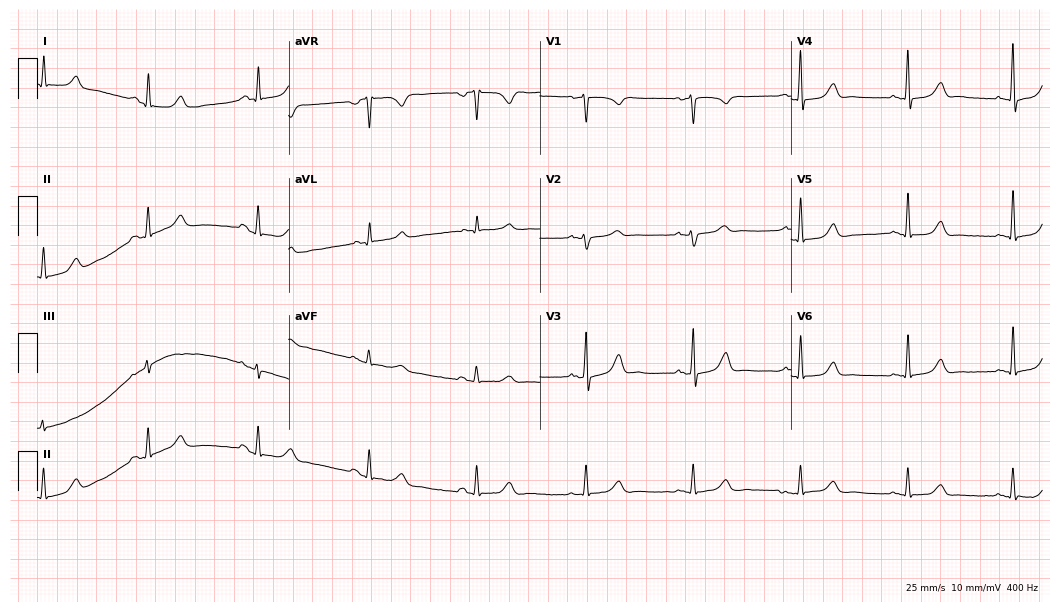
Standard 12-lead ECG recorded from a woman, 58 years old. Read as a normal ECG.